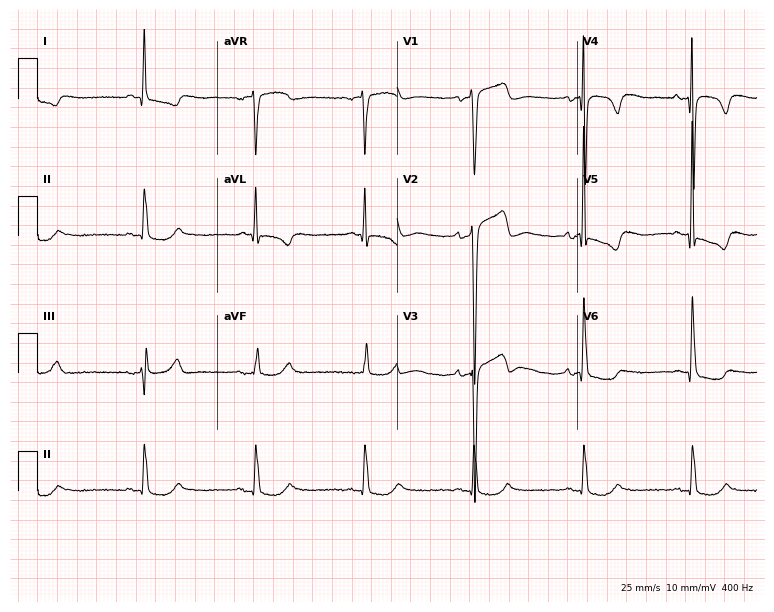
12-lead ECG from a male patient, 75 years old. No first-degree AV block, right bundle branch block, left bundle branch block, sinus bradycardia, atrial fibrillation or sinus tachycardia recorded for this tracing. Only these six findings were labelled.